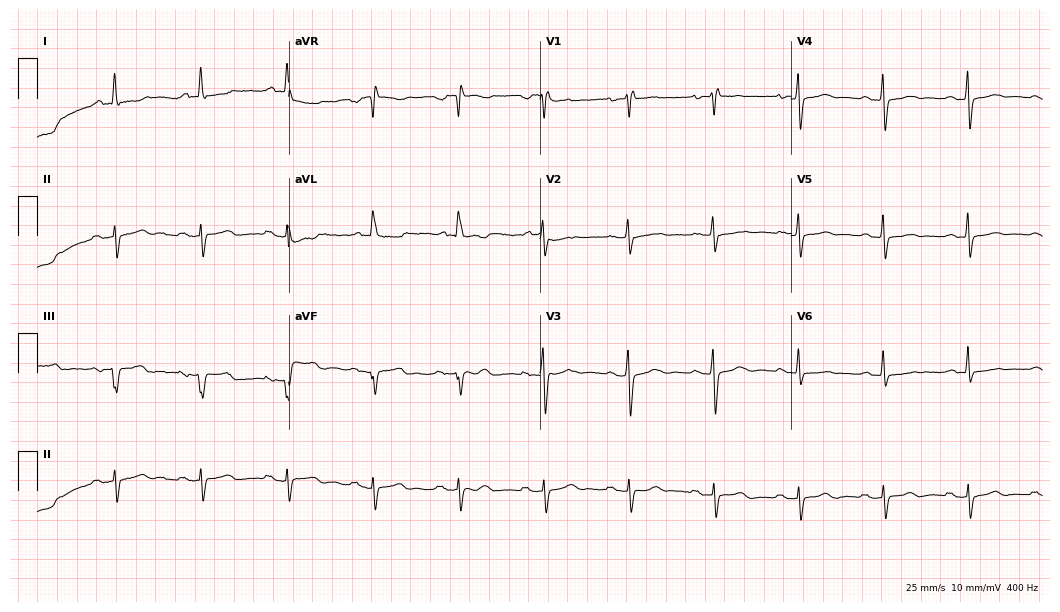
12-lead ECG from a female patient, 75 years old. No first-degree AV block, right bundle branch block, left bundle branch block, sinus bradycardia, atrial fibrillation or sinus tachycardia recorded for this tracing. Only these six findings were labelled.